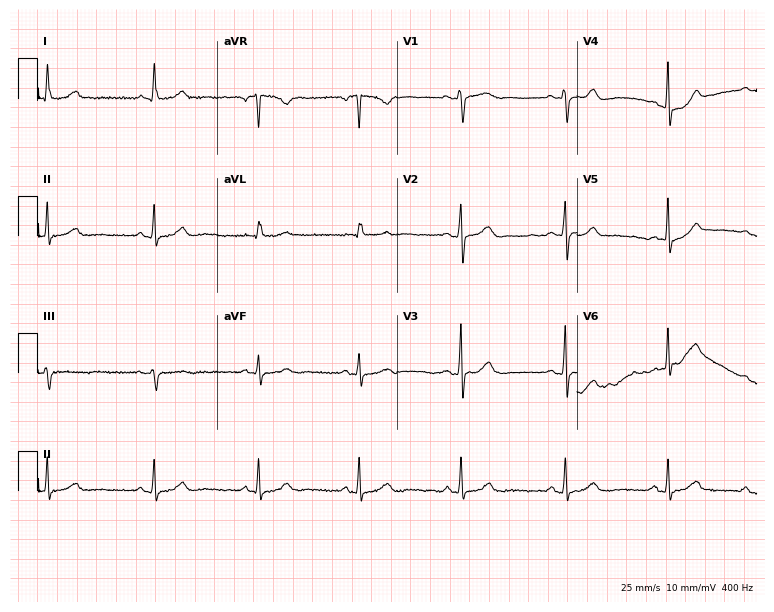
Standard 12-lead ECG recorded from a female, 64 years old. Read as a normal ECG.